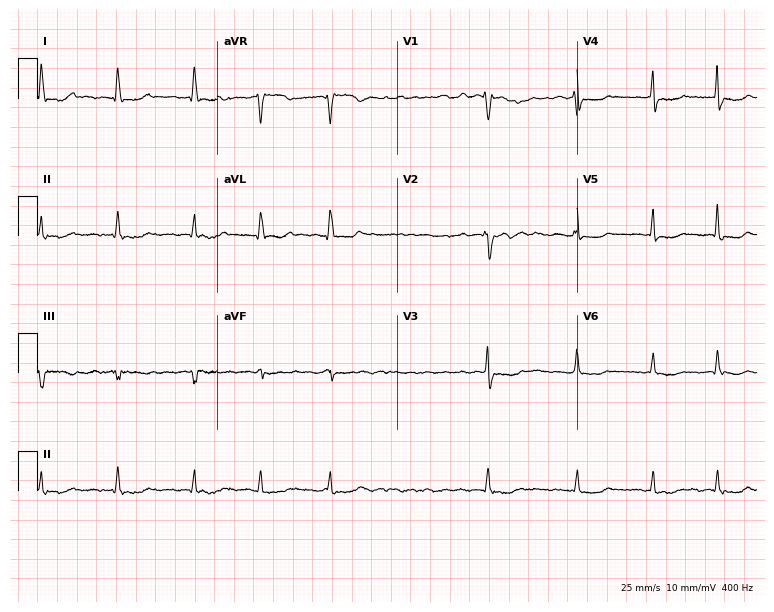
12-lead ECG from a woman, 71 years old. Findings include atrial fibrillation.